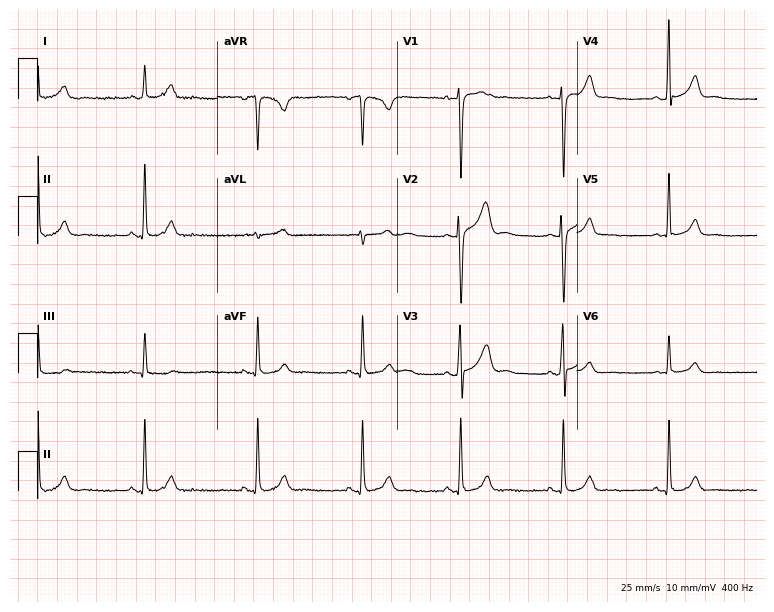
Electrocardiogram, a man, 24 years old. Overall reading on record: normal ECG.